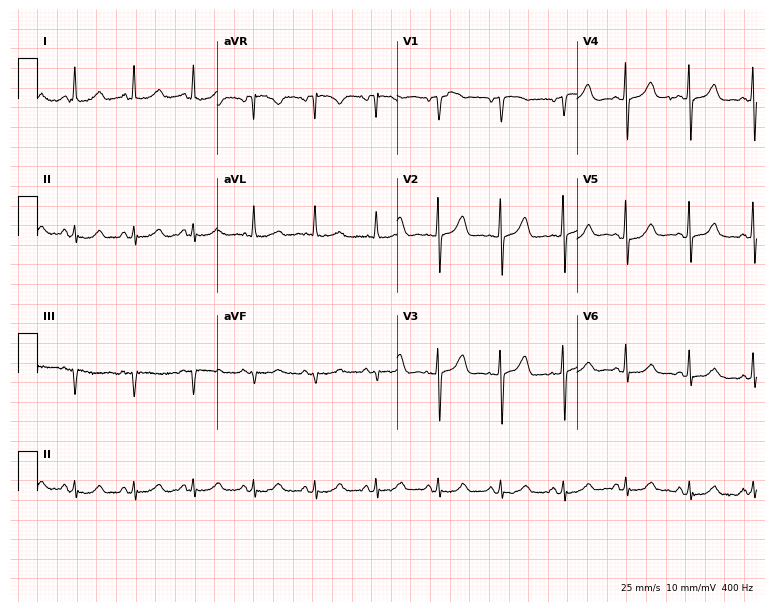
12-lead ECG from a woman, 61 years old. Recorded interpretation: within normal limits.